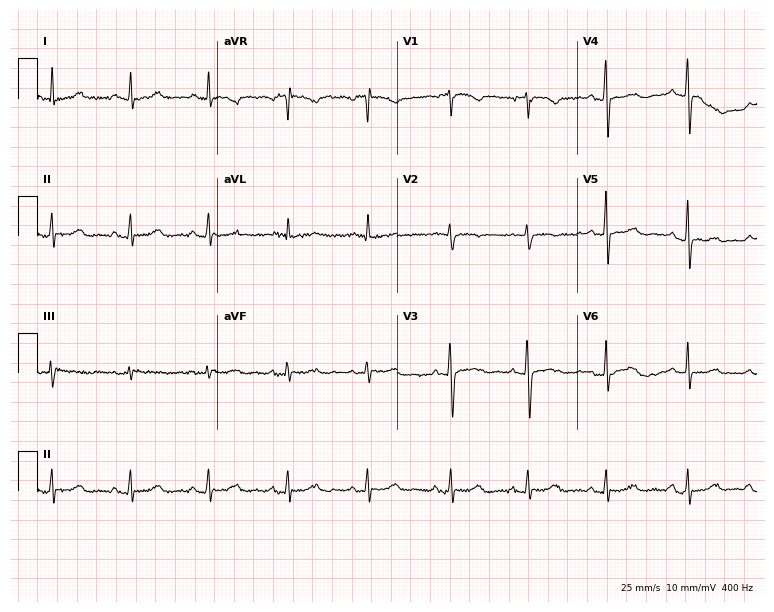
Standard 12-lead ECG recorded from a woman, 61 years old. Read as a normal ECG.